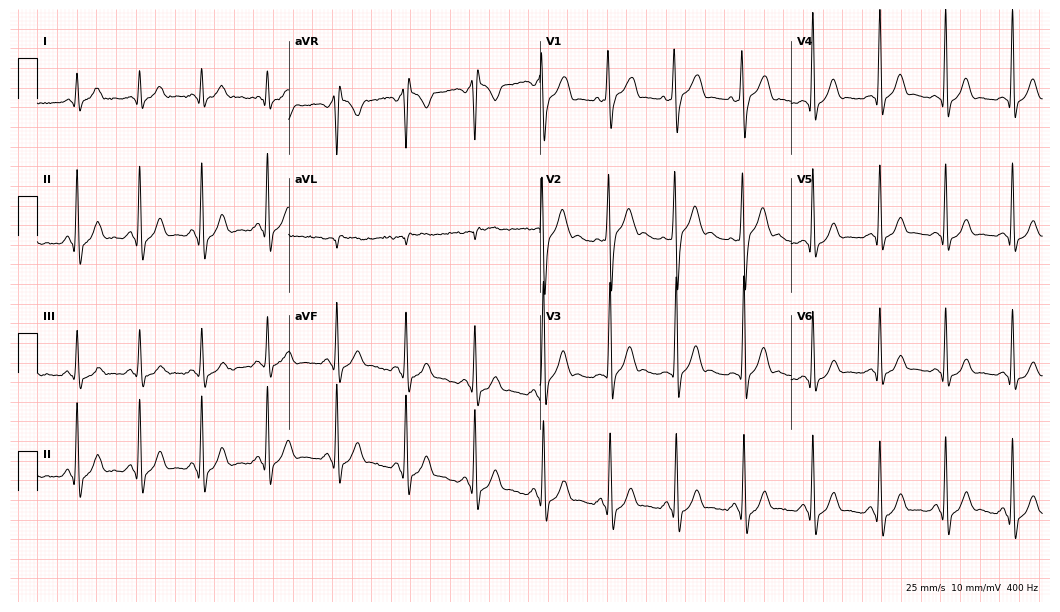
Electrocardiogram (10.2-second recording at 400 Hz), a 20-year-old male. Of the six screened findings (first-degree AV block, right bundle branch block, left bundle branch block, sinus bradycardia, atrial fibrillation, sinus tachycardia), none is recorded.